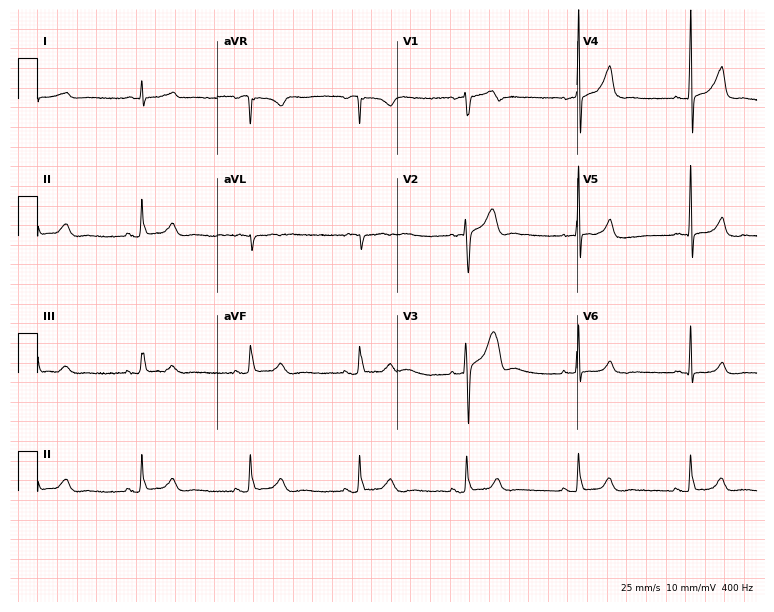
Resting 12-lead electrocardiogram. Patient: a 55-year-old male. Read as a normal ECG.